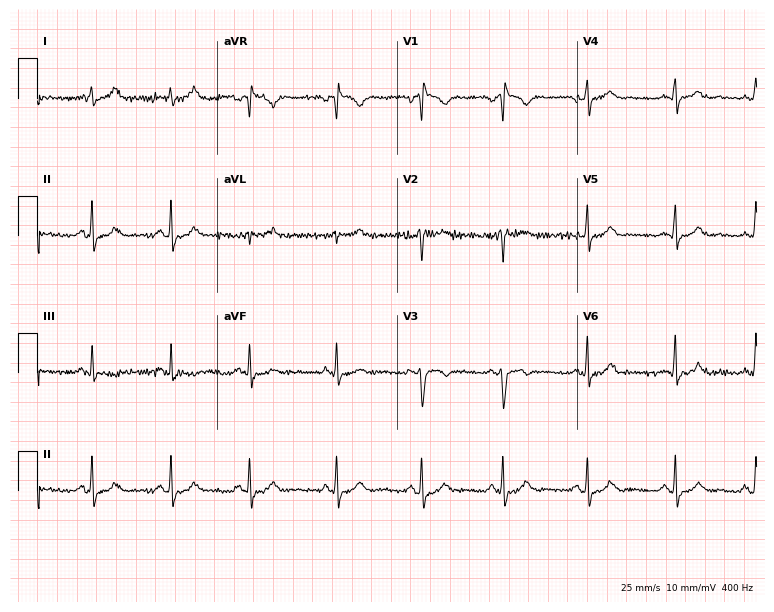
Standard 12-lead ECG recorded from a woman, 19 years old. None of these six findings is recorded: first-degree AV block, right bundle branch block, left bundle branch block, sinus bradycardia, atrial fibrillation, sinus tachycardia.